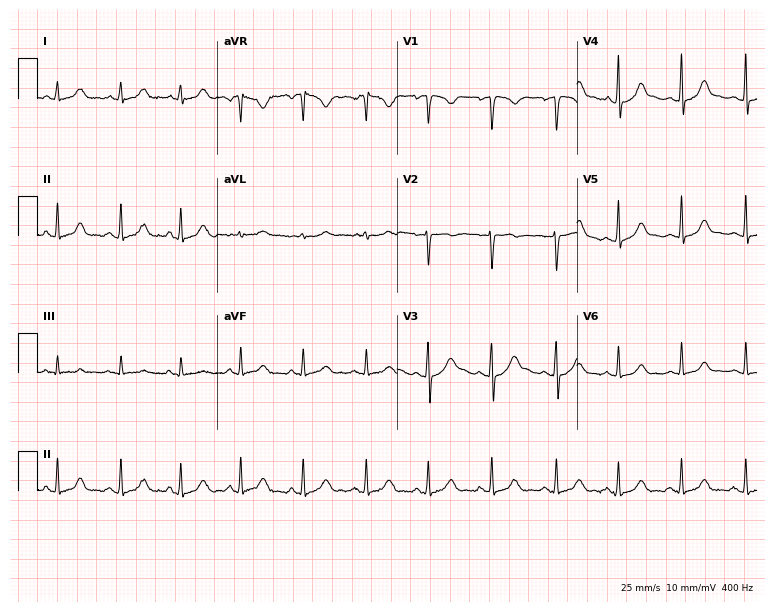
12-lead ECG (7.3-second recording at 400 Hz) from a female, 20 years old. Labelled as a normal ECG.